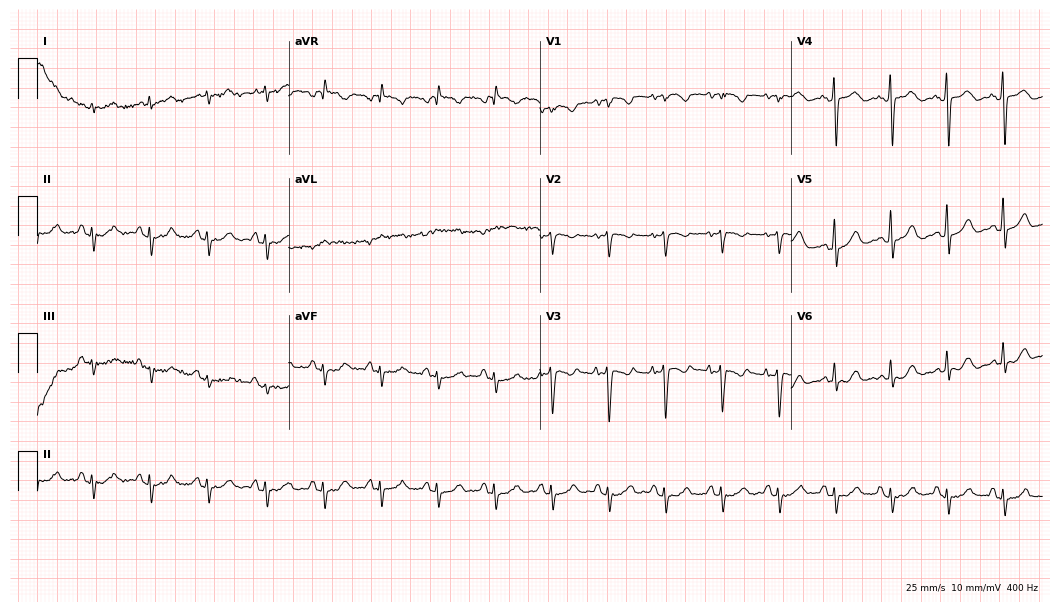
ECG — a man, 72 years old. Findings include sinus tachycardia (a sinus rate of 100 beats per minute or more).